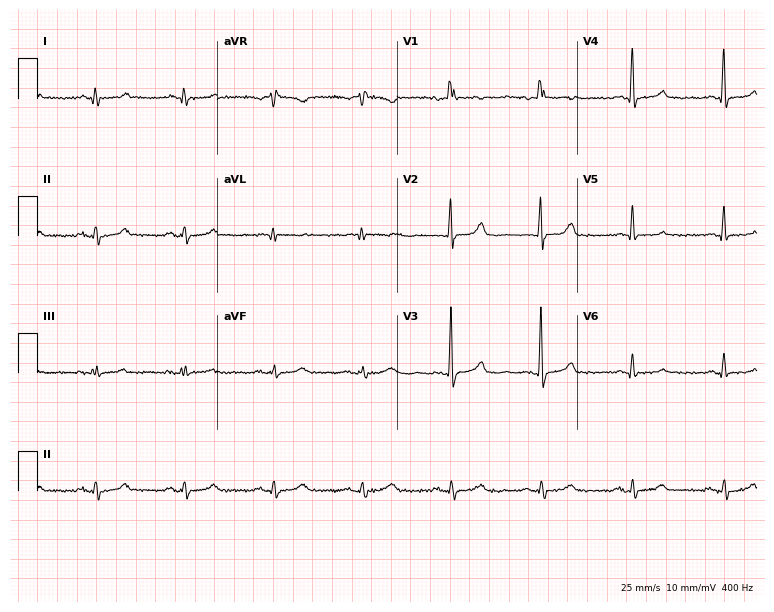
Electrocardiogram (7.3-second recording at 400 Hz), a female, 73 years old. Of the six screened findings (first-degree AV block, right bundle branch block, left bundle branch block, sinus bradycardia, atrial fibrillation, sinus tachycardia), none is recorded.